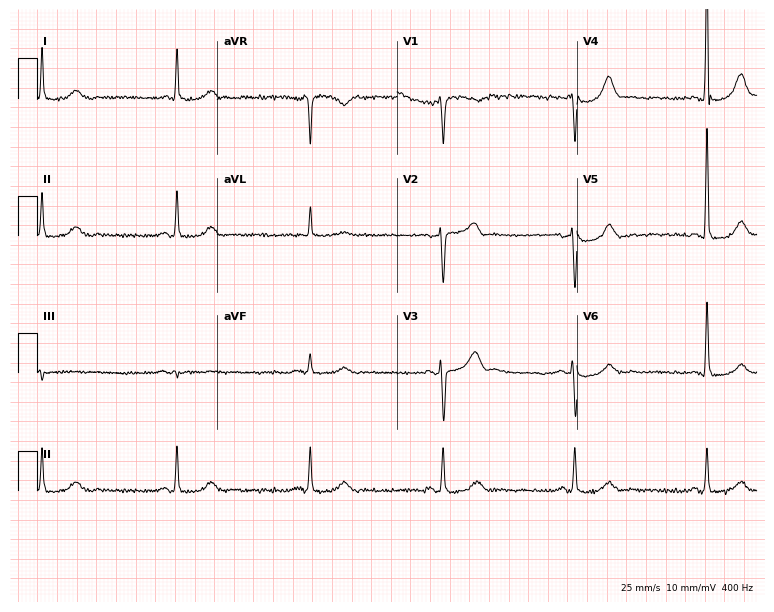
12-lead ECG from a 76-year-old male. Shows sinus bradycardia (a sinus rate of 50 beats per minute or less).